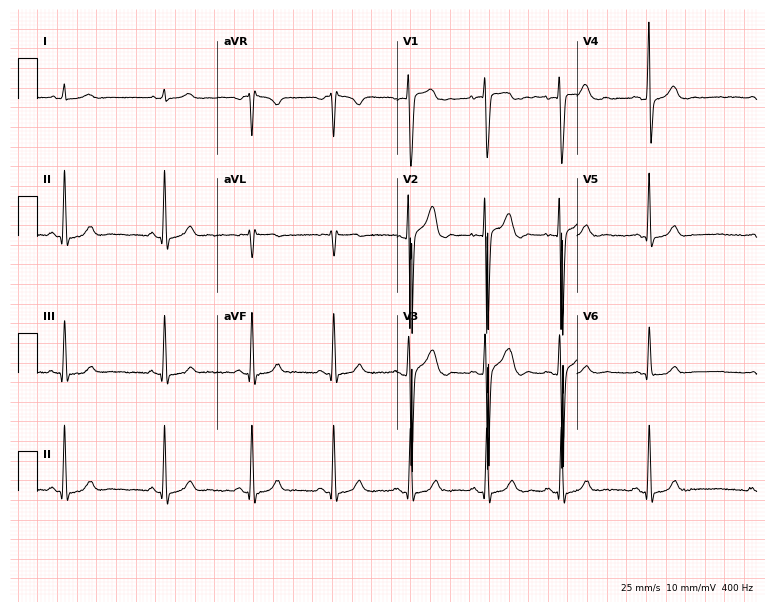
Electrocardiogram, a 22-year-old man. Overall reading on record: normal ECG.